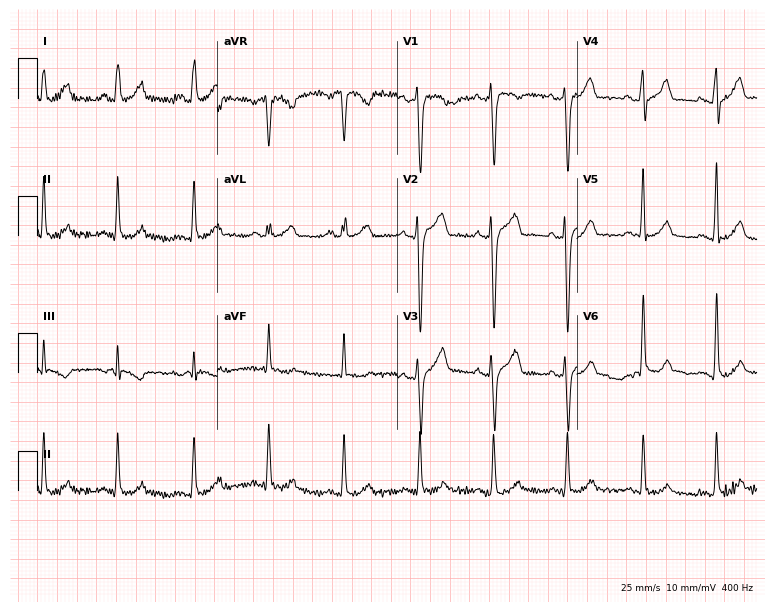
Standard 12-lead ECG recorded from a male, 37 years old. Read as a normal ECG.